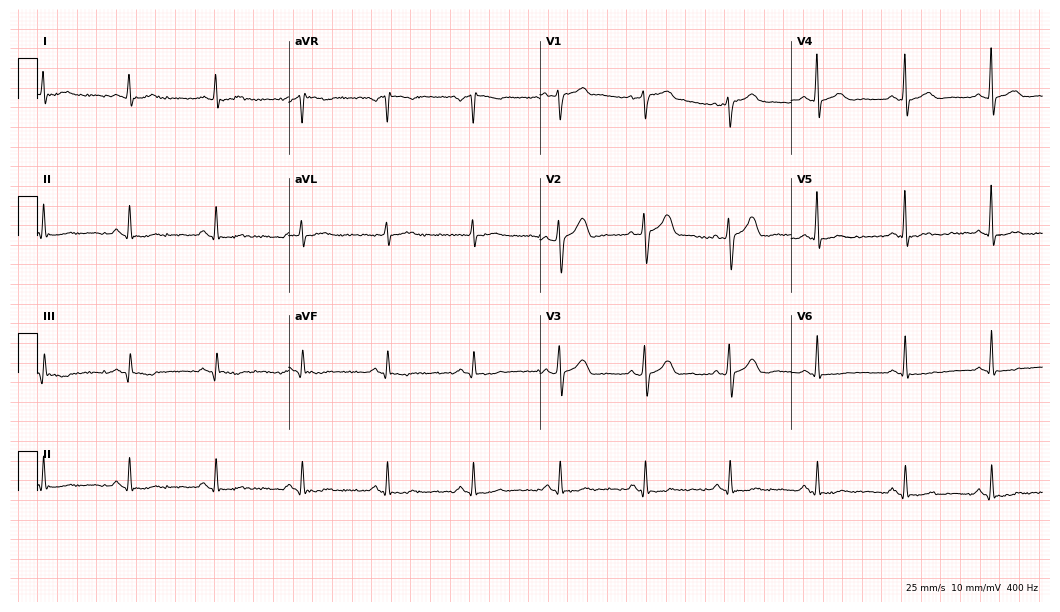
ECG — a man, 45 years old. Screened for six findings — first-degree AV block, right bundle branch block (RBBB), left bundle branch block (LBBB), sinus bradycardia, atrial fibrillation (AF), sinus tachycardia — none is recorded.